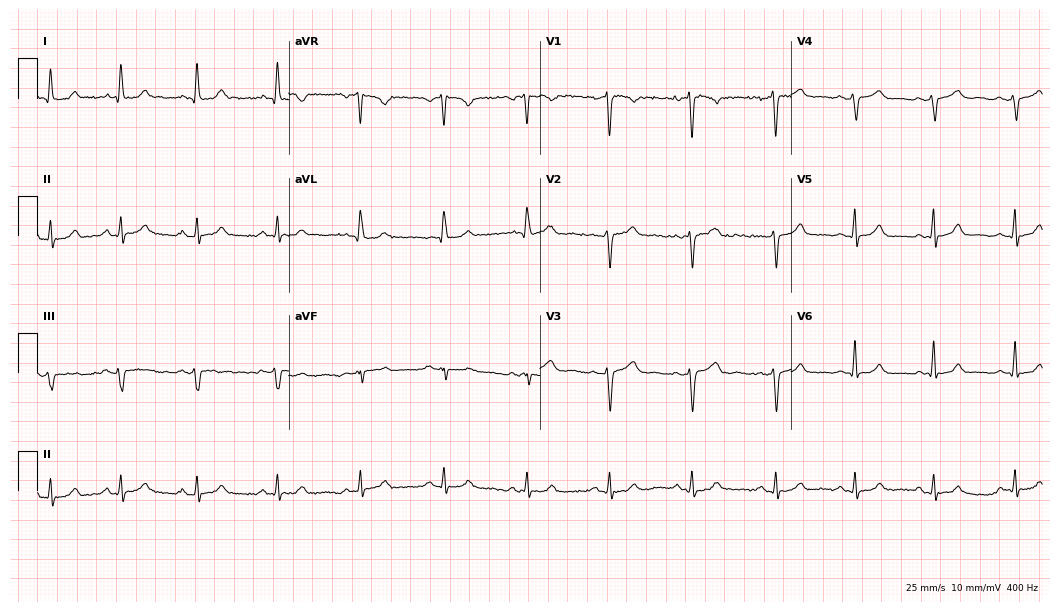
Electrocardiogram (10.2-second recording at 400 Hz), a 36-year-old female patient. Overall reading on record: normal ECG.